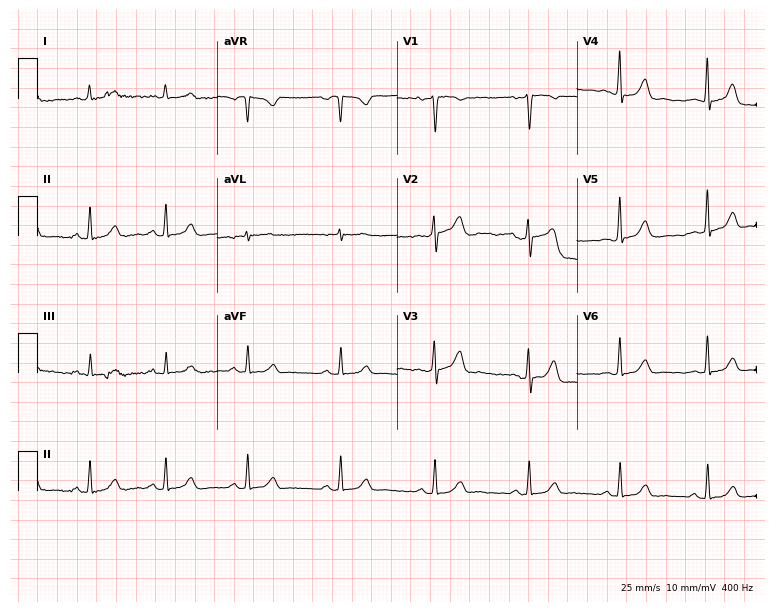
12-lead ECG from a 30-year-old female patient. Screened for six findings — first-degree AV block, right bundle branch block, left bundle branch block, sinus bradycardia, atrial fibrillation, sinus tachycardia — none is recorded.